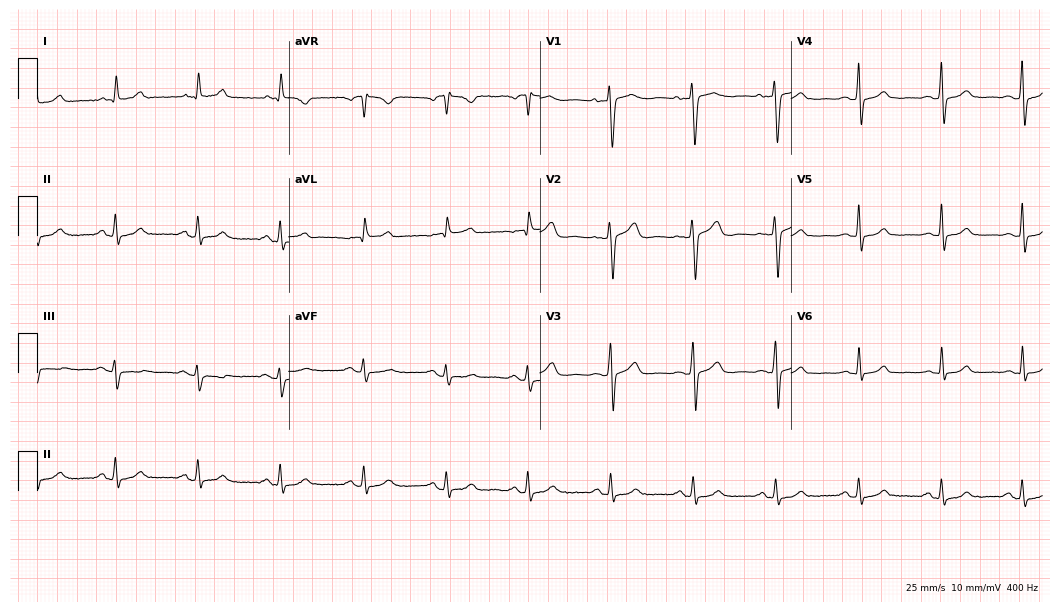
Standard 12-lead ECG recorded from a 47-year-old female. Read as a normal ECG.